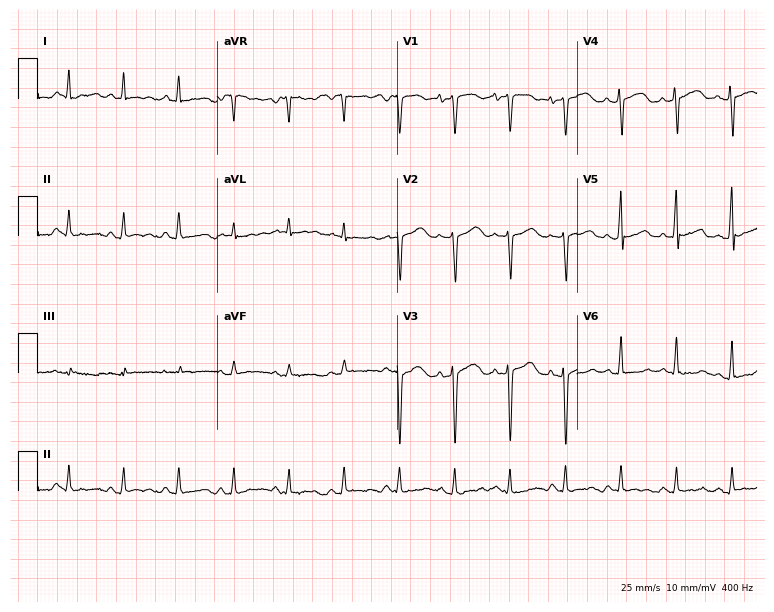
Standard 12-lead ECG recorded from a 42-year-old man (7.3-second recording at 400 Hz). The tracing shows sinus tachycardia (a sinus rate of 100 beats per minute or more).